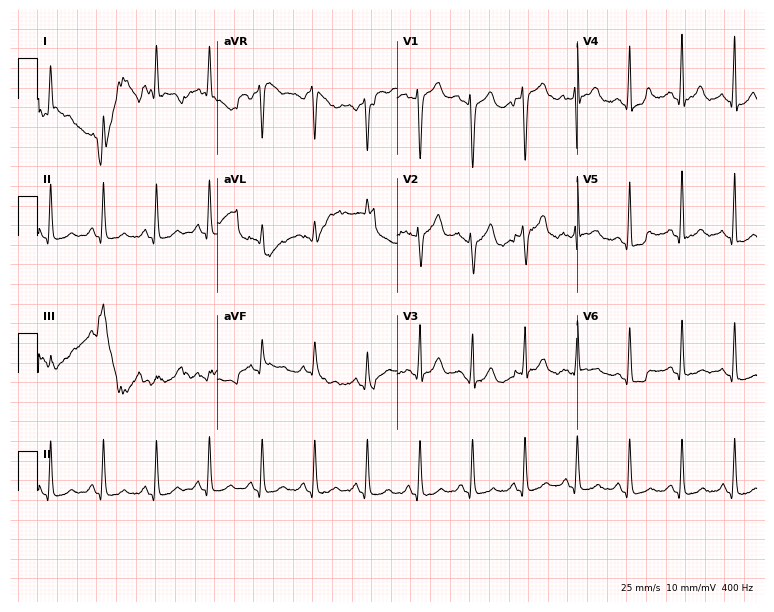
12-lead ECG (7.3-second recording at 400 Hz) from a 51-year-old male. Findings include sinus tachycardia (a sinus rate of 100 beats per minute or more).